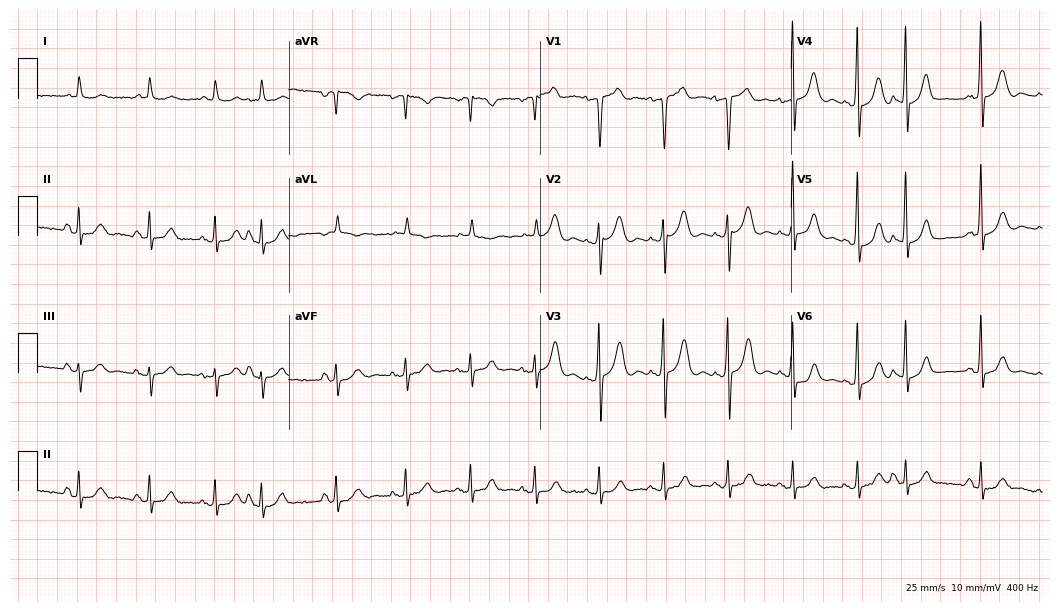
Standard 12-lead ECG recorded from a male patient, 77 years old (10.2-second recording at 400 Hz). None of these six findings is recorded: first-degree AV block, right bundle branch block, left bundle branch block, sinus bradycardia, atrial fibrillation, sinus tachycardia. Only these six findings were labelled.